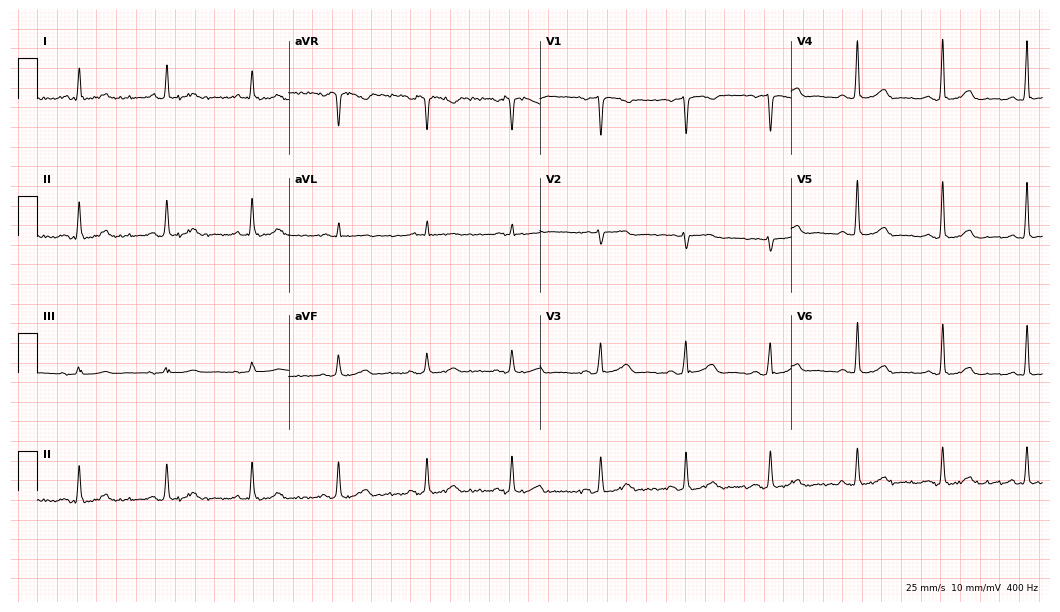
12-lead ECG from a 53-year-old female. Recorded interpretation: within normal limits.